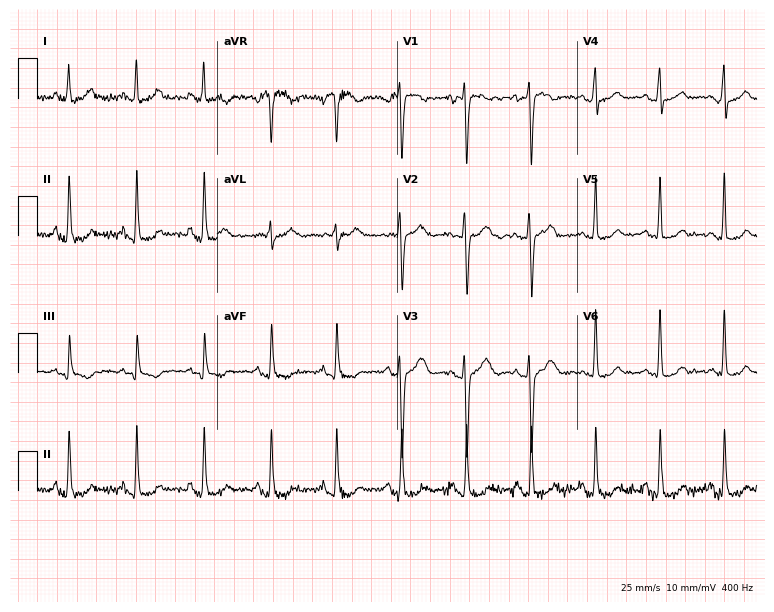
ECG (7.3-second recording at 400 Hz) — a female patient, 29 years old. Labelled as a normal ECG.